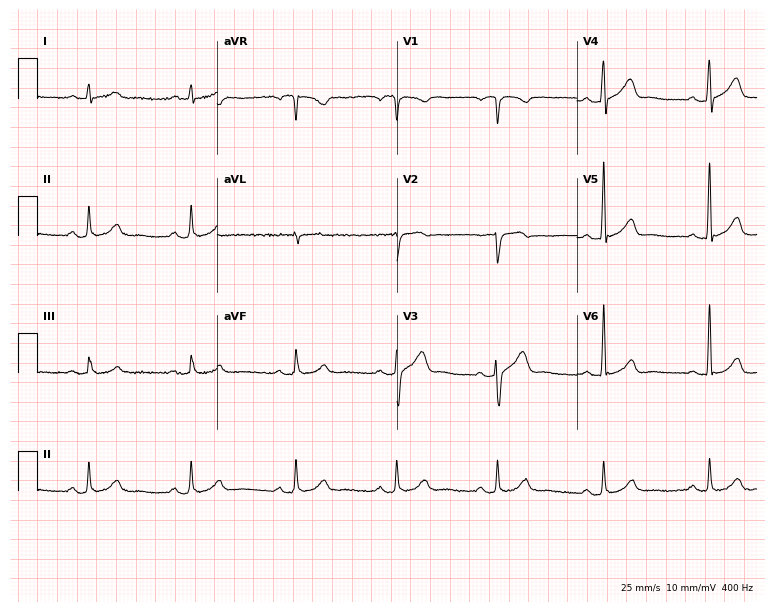
ECG (7.3-second recording at 400 Hz) — a 55-year-old man. Screened for six findings — first-degree AV block, right bundle branch block (RBBB), left bundle branch block (LBBB), sinus bradycardia, atrial fibrillation (AF), sinus tachycardia — none is recorded. Findings outside these six are not listed.